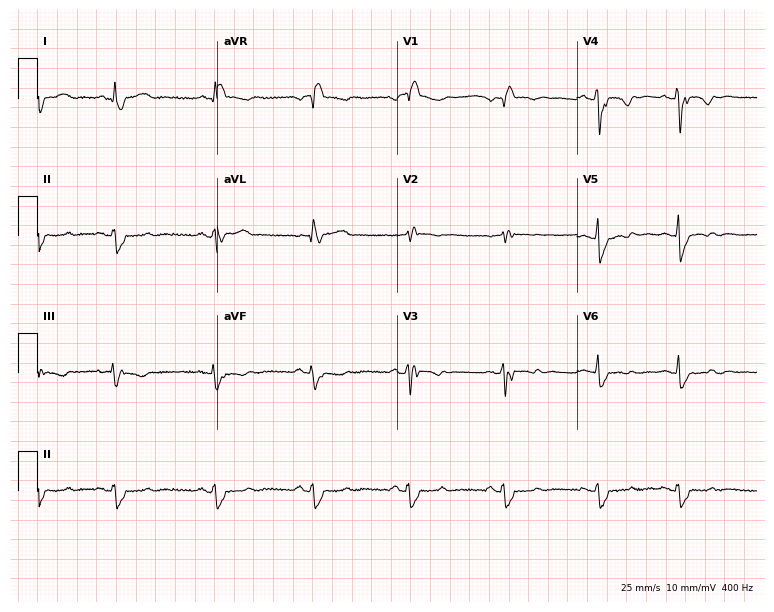
Resting 12-lead electrocardiogram (7.3-second recording at 400 Hz). Patient: a woman, 75 years old. The tracing shows right bundle branch block (RBBB).